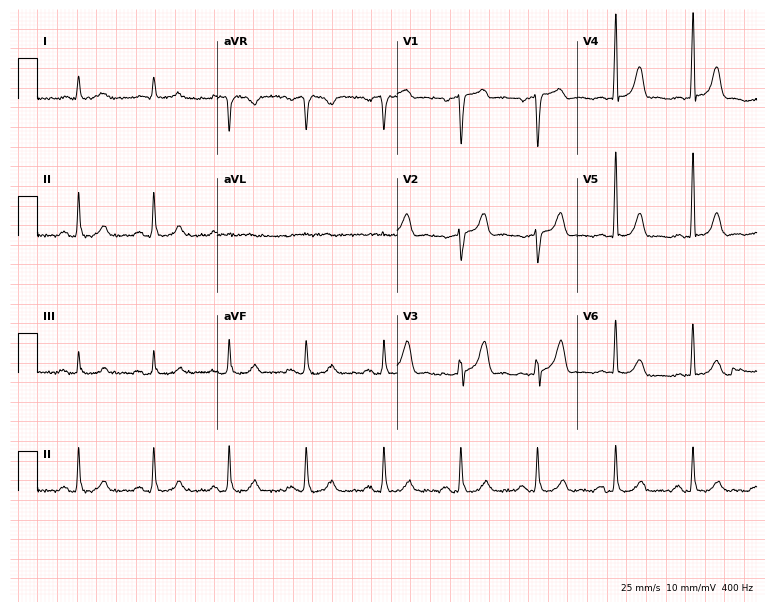
12-lead ECG from a 61-year-old male patient. Labelled as a normal ECG.